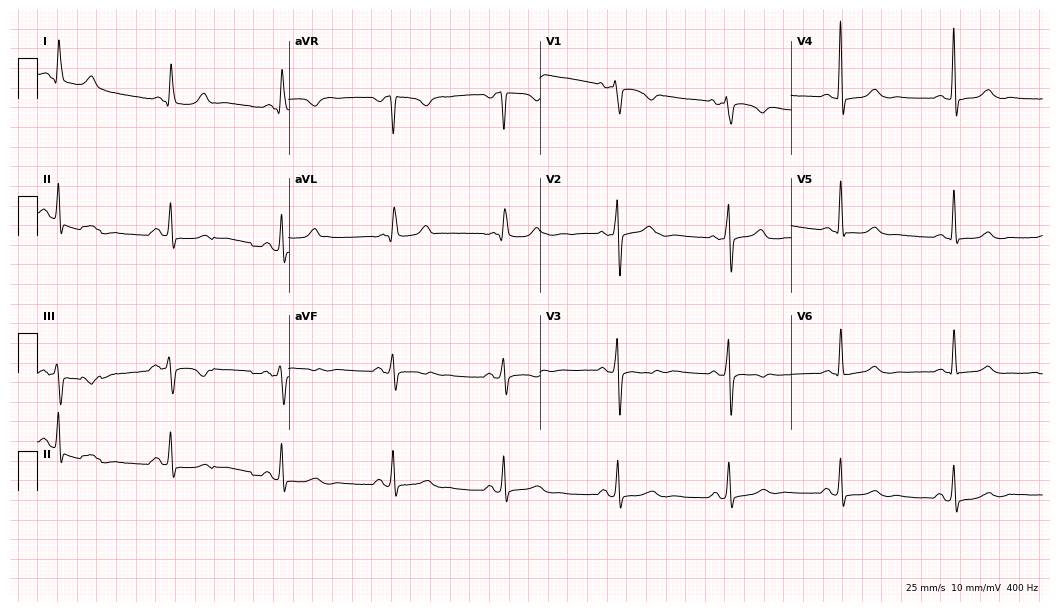
ECG — an 83-year-old woman. Screened for six findings — first-degree AV block, right bundle branch block, left bundle branch block, sinus bradycardia, atrial fibrillation, sinus tachycardia — none is recorded.